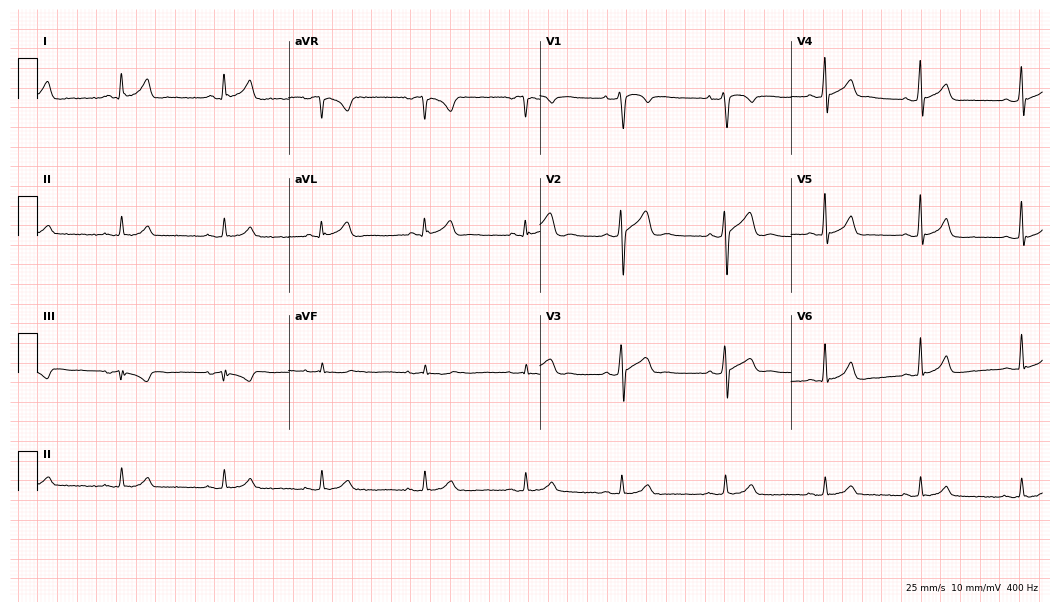
12-lead ECG from a male patient, 23 years old (10.2-second recording at 400 Hz). Recorded interpretation: within normal limits.